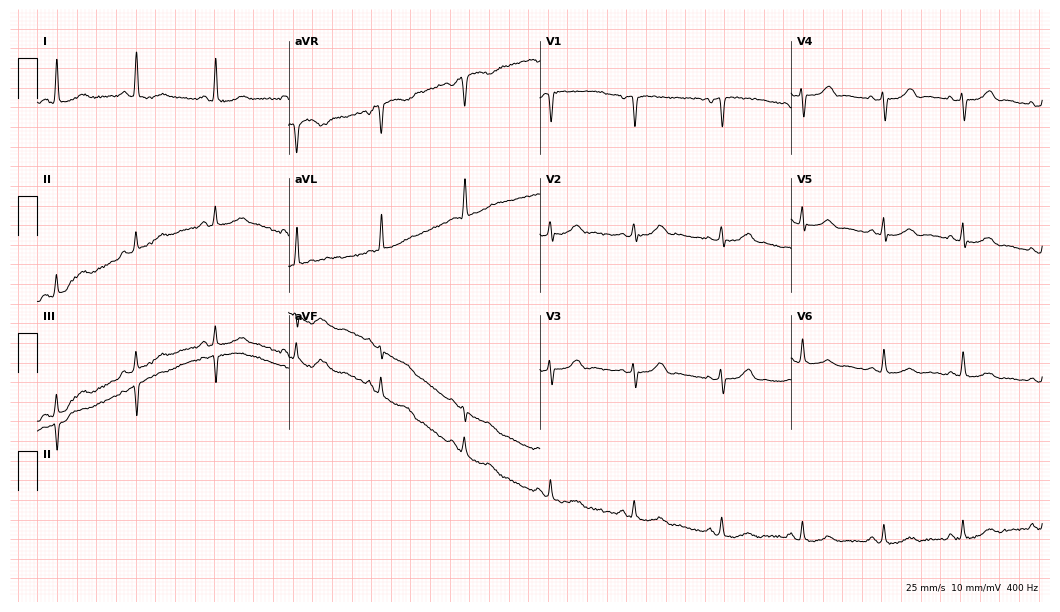
Resting 12-lead electrocardiogram. Patient: a female, 43 years old. None of these six findings is recorded: first-degree AV block, right bundle branch block, left bundle branch block, sinus bradycardia, atrial fibrillation, sinus tachycardia.